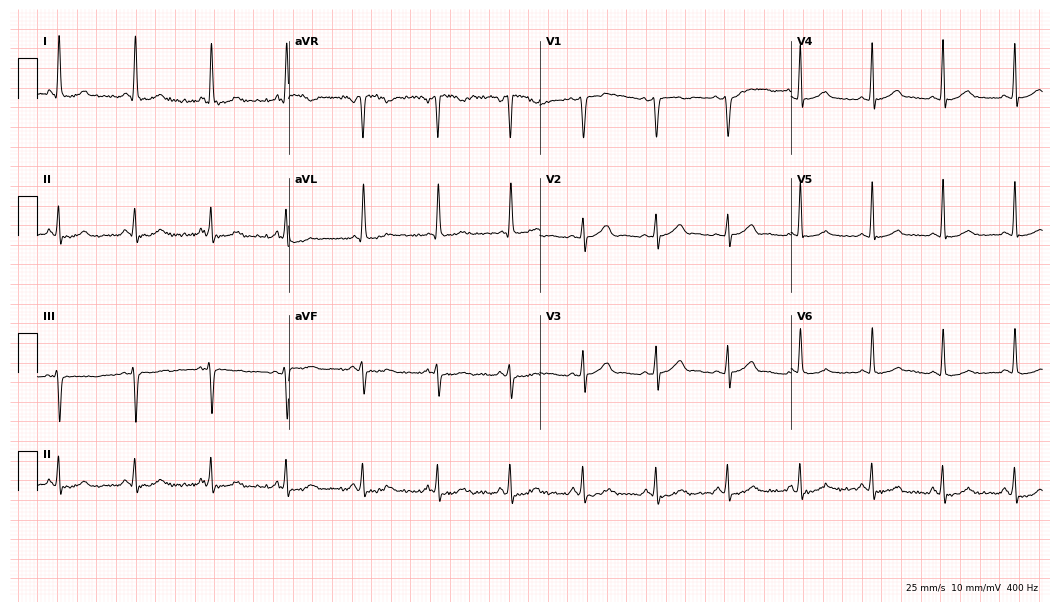
12-lead ECG from a female, 32 years old. Labelled as a normal ECG.